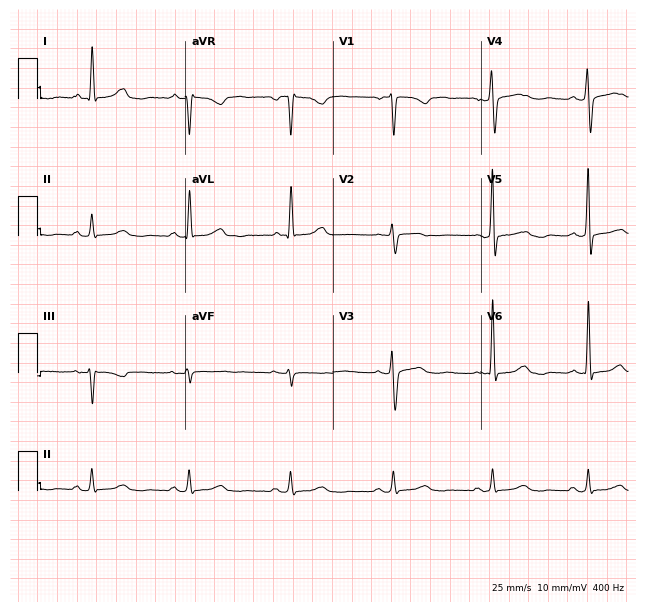
12-lead ECG from a female, 54 years old (6-second recording at 400 Hz). Recorded interpretation: within normal limits.